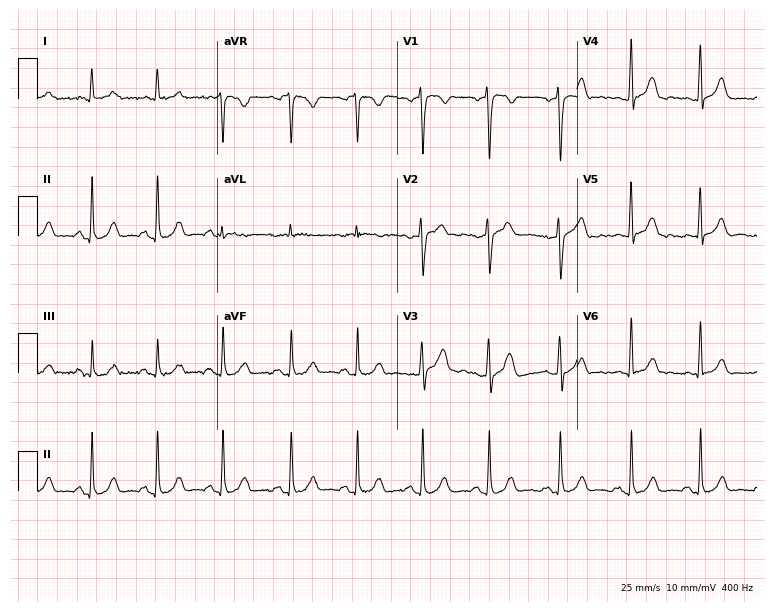
12-lead ECG (7.3-second recording at 400 Hz) from a 33-year-old female patient. Labelled as a normal ECG.